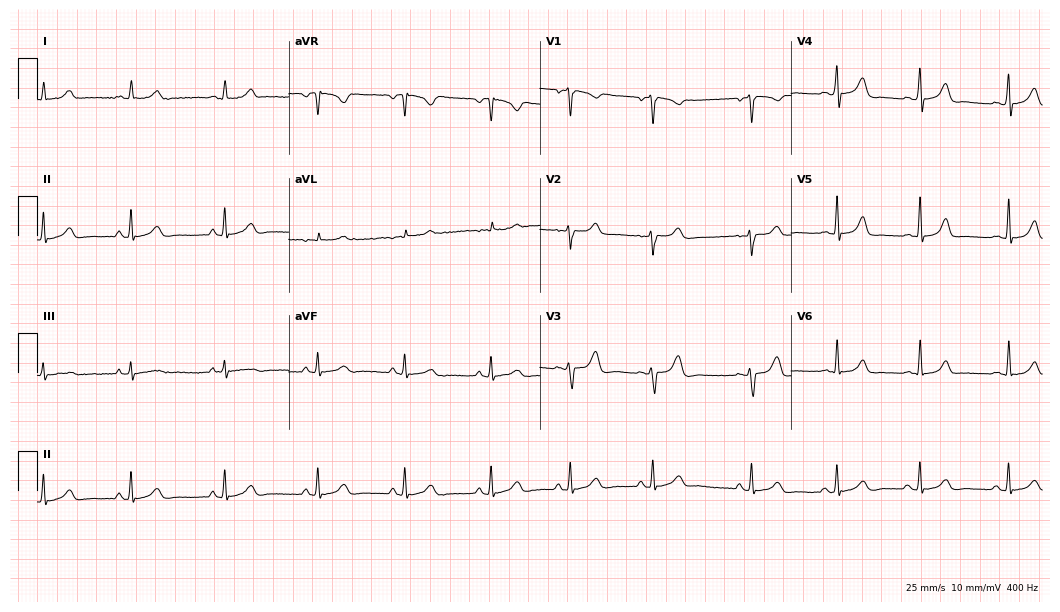
12-lead ECG (10.2-second recording at 400 Hz) from a 34-year-old female patient. Labelled as a normal ECG.